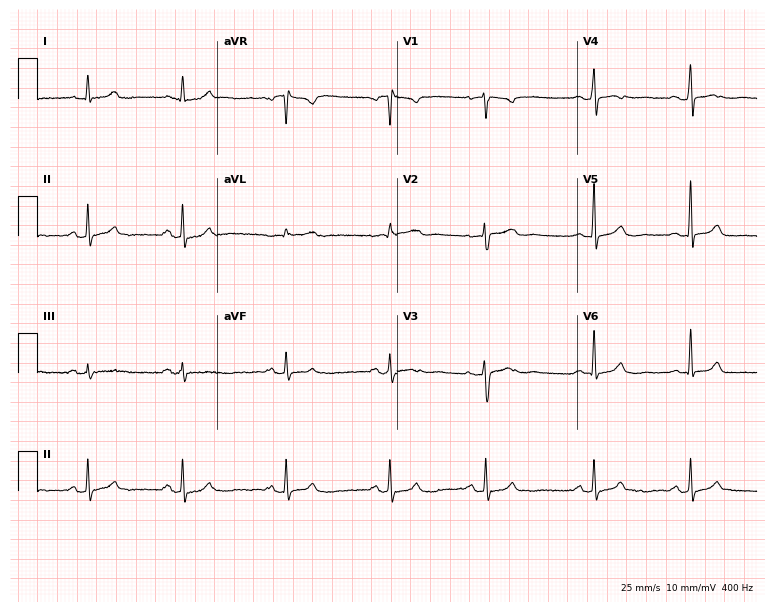
12-lead ECG from a 30-year-old female patient (7.3-second recording at 400 Hz). Recorded interpretation: within normal limits.